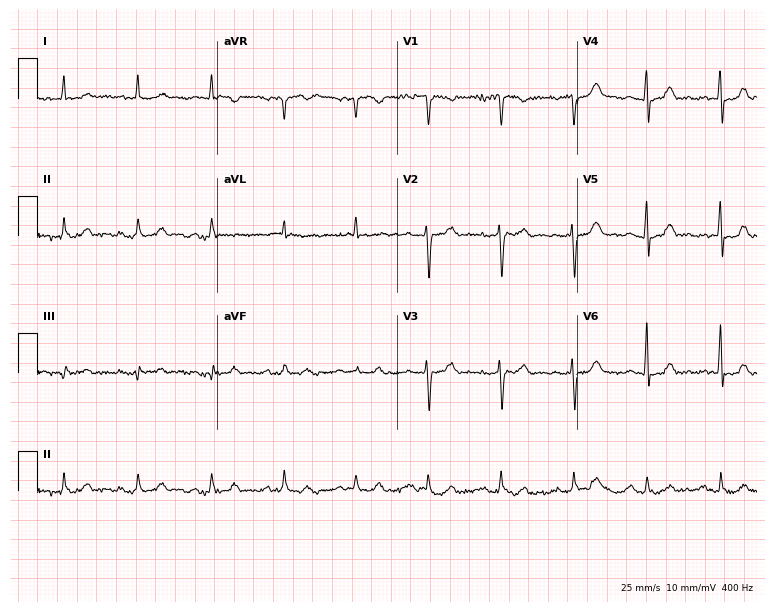
Electrocardiogram, a male patient, 78 years old. Overall reading on record: normal ECG.